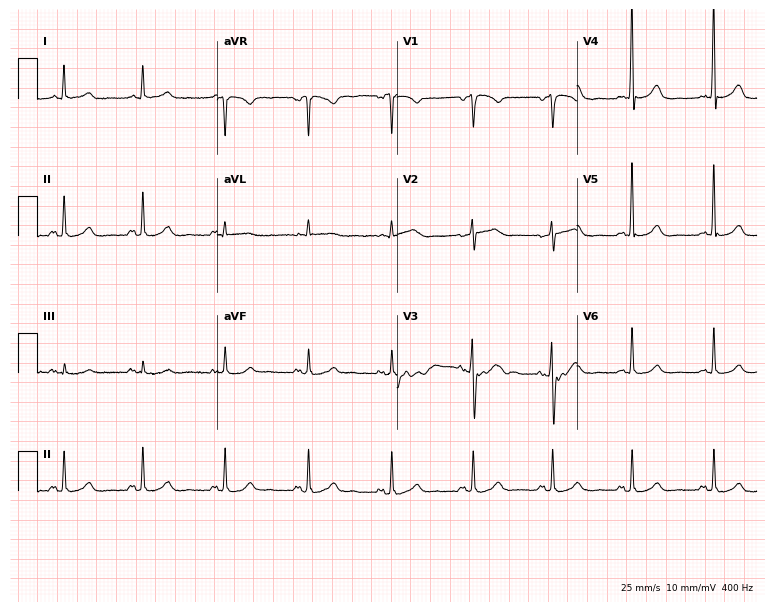
Standard 12-lead ECG recorded from a 57-year-old male (7.3-second recording at 400 Hz). Read as a normal ECG.